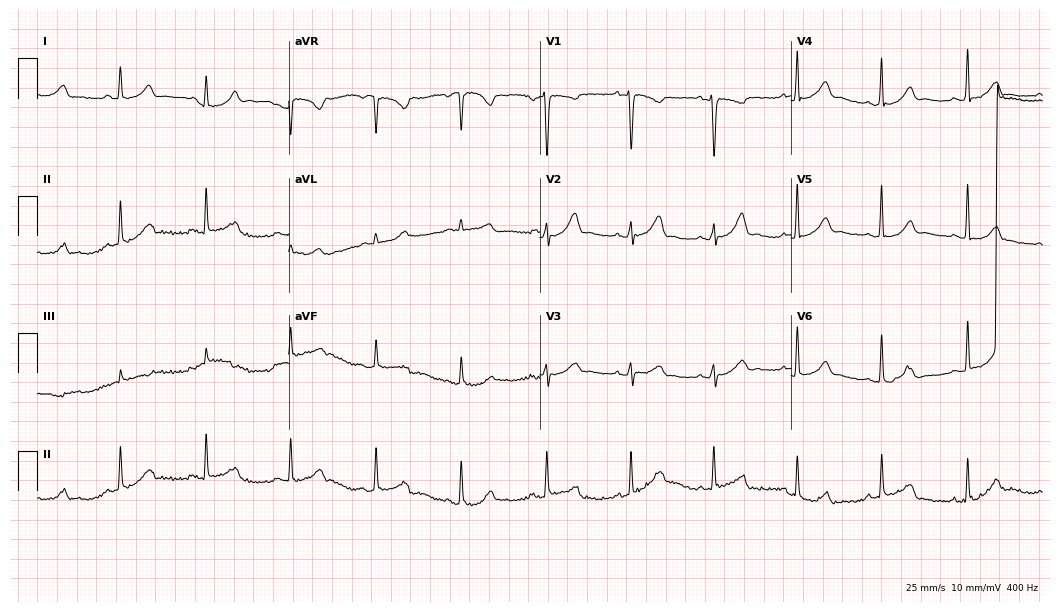
Resting 12-lead electrocardiogram (10.2-second recording at 400 Hz). Patient: a 33-year-old female. Read as a normal ECG.